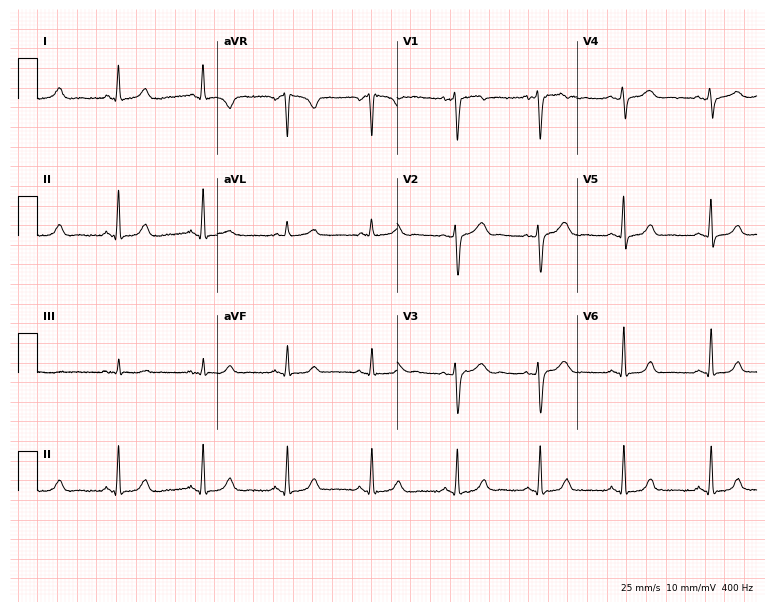
Standard 12-lead ECG recorded from a female patient, 34 years old (7.3-second recording at 400 Hz). Read as a normal ECG.